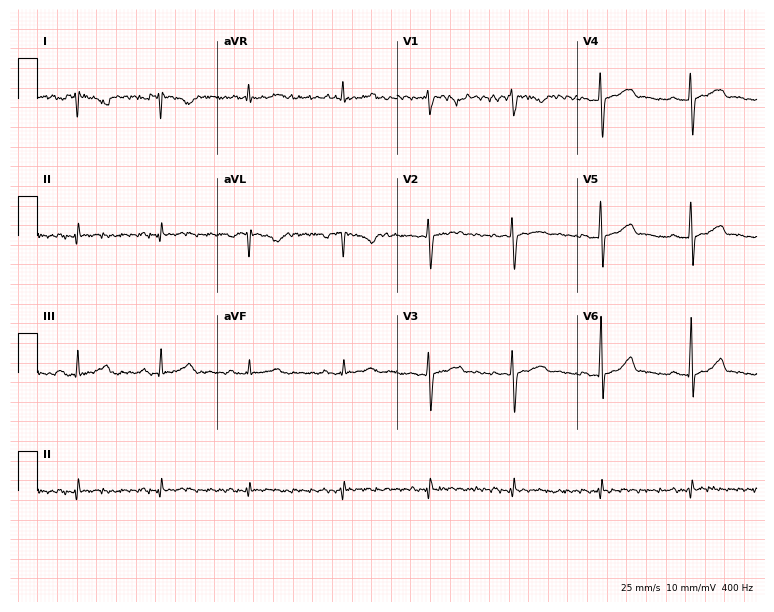
12-lead ECG from a female patient, 35 years old (7.3-second recording at 400 Hz). No first-degree AV block, right bundle branch block (RBBB), left bundle branch block (LBBB), sinus bradycardia, atrial fibrillation (AF) or sinus tachycardia recorded for this tracing.